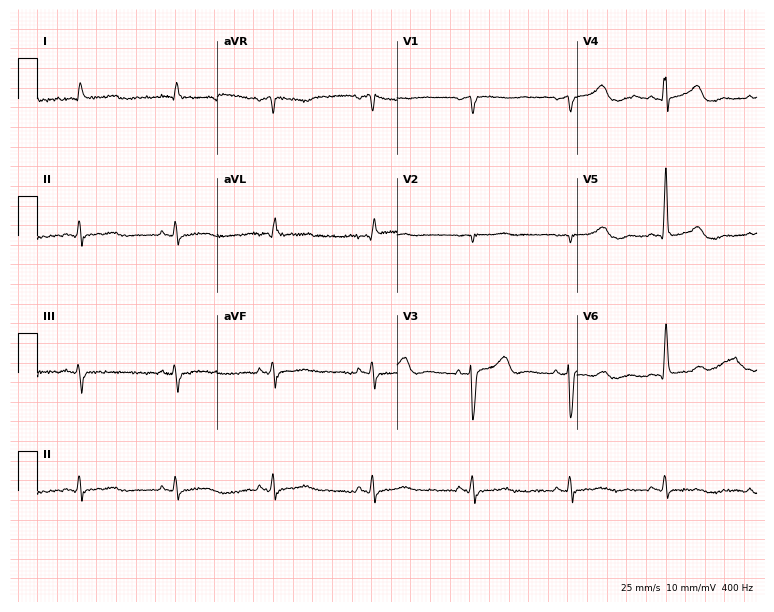
Electrocardiogram, a male patient, 82 years old. Of the six screened findings (first-degree AV block, right bundle branch block (RBBB), left bundle branch block (LBBB), sinus bradycardia, atrial fibrillation (AF), sinus tachycardia), none is recorded.